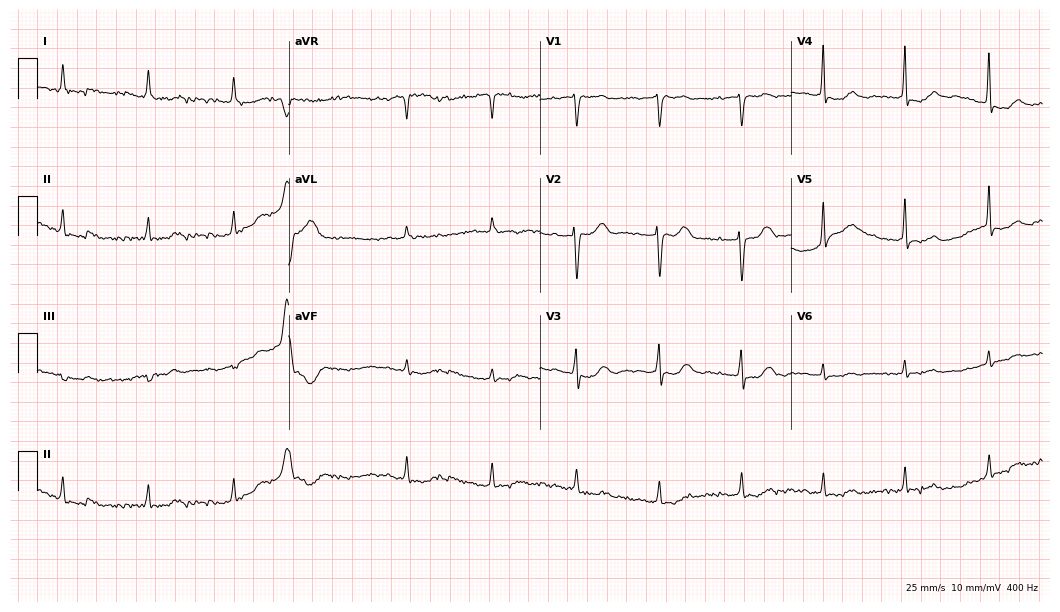
Electrocardiogram (10.2-second recording at 400 Hz), a woman, 79 years old. Of the six screened findings (first-degree AV block, right bundle branch block (RBBB), left bundle branch block (LBBB), sinus bradycardia, atrial fibrillation (AF), sinus tachycardia), none is recorded. Findings outside these six are not listed.